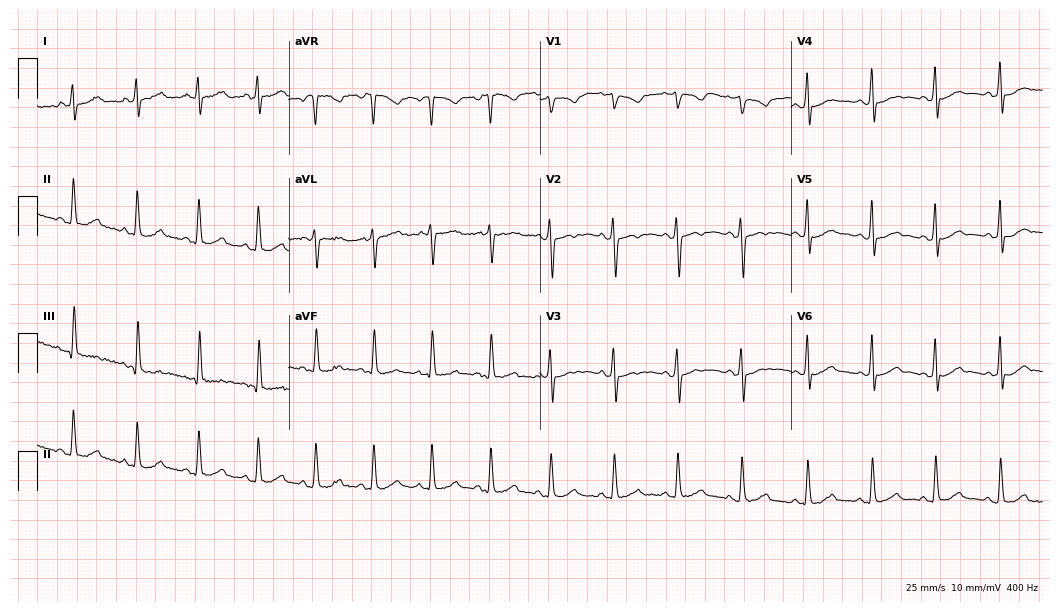
Electrocardiogram (10.2-second recording at 400 Hz), a 20-year-old female patient. Overall reading on record: normal ECG.